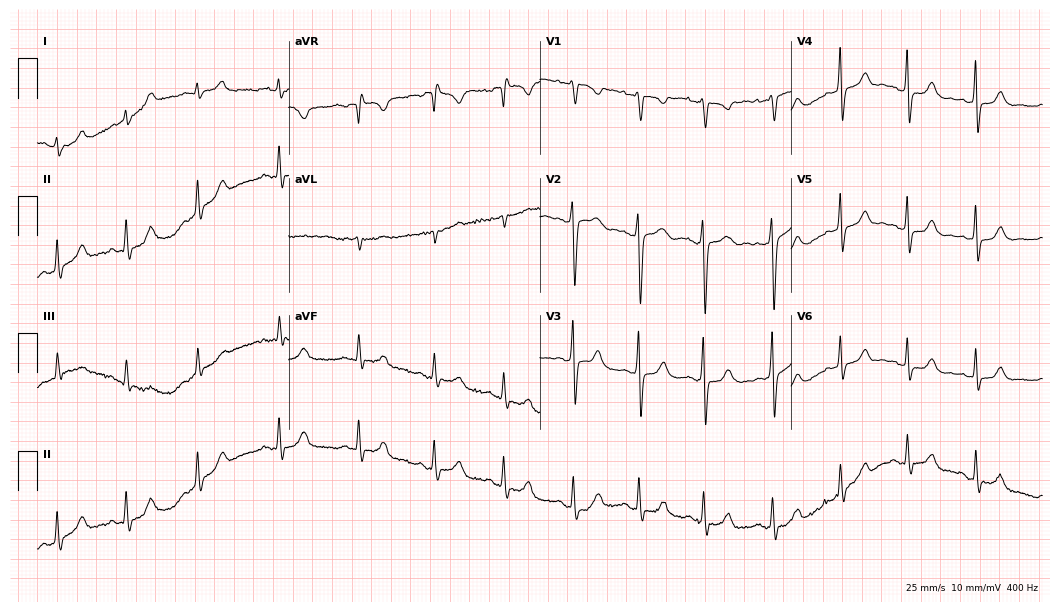
12-lead ECG from a 17-year-old woman. Screened for six findings — first-degree AV block, right bundle branch block, left bundle branch block, sinus bradycardia, atrial fibrillation, sinus tachycardia — none is recorded. Other findings, if any, are not listed.